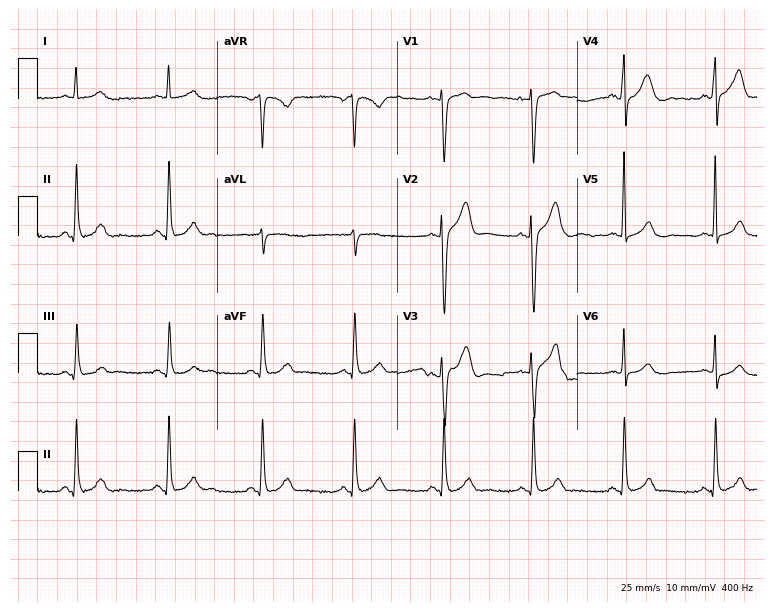
12-lead ECG (7.3-second recording at 400 Hz) from a 57-year-old male patient. Screened for six findings — first-degree AV block, right bundle branch block (RBBB), left bundle branch block (LBBB), sinus bradycardia, atrial fibrillation (AF), sinus tachycardia — none is recorded. Findings outside these six are not listed.